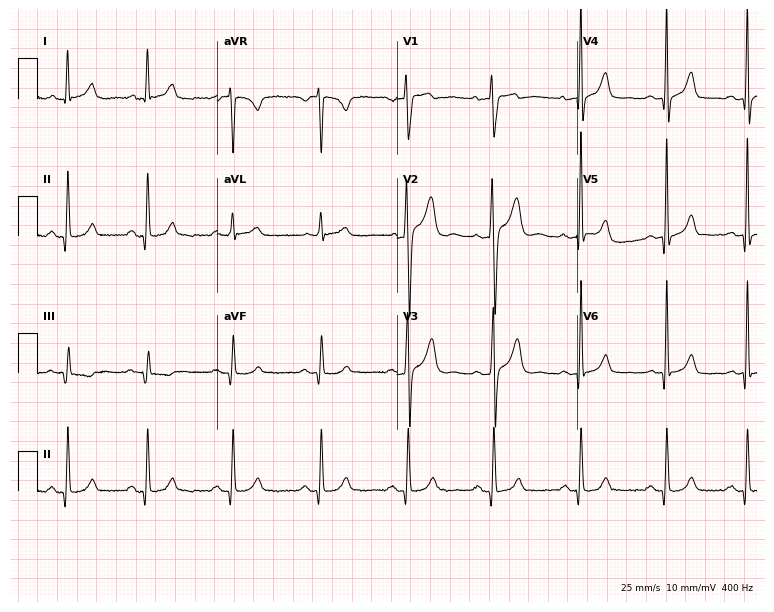
ECG — a male patient, 38 years old. Screened for six findings — first-degree AV block, right bundle branch block, left bundle branch block, sinus bradycardia, atrial fibrillation, sinus tachycardia — none is recorded. Findings outside these six are not listed.